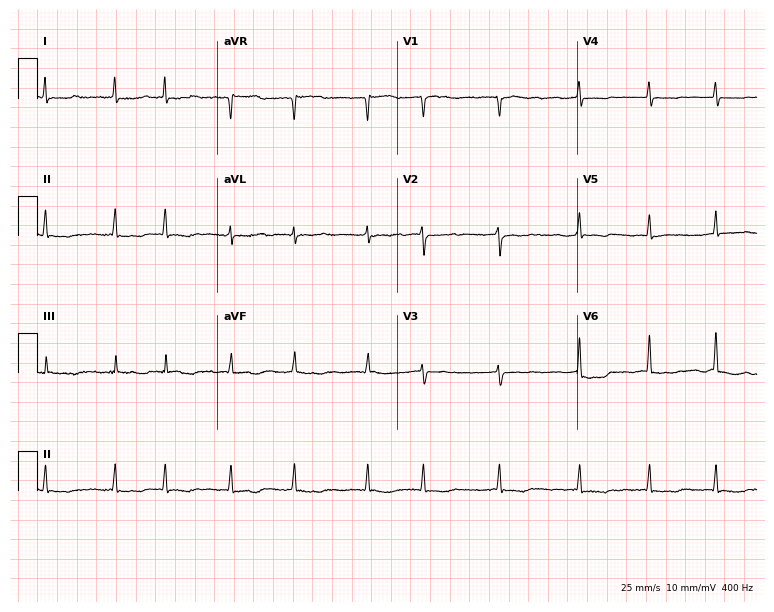
12-lead ECG from an 80-year-old female patient. Findings include atrial fibrillation.